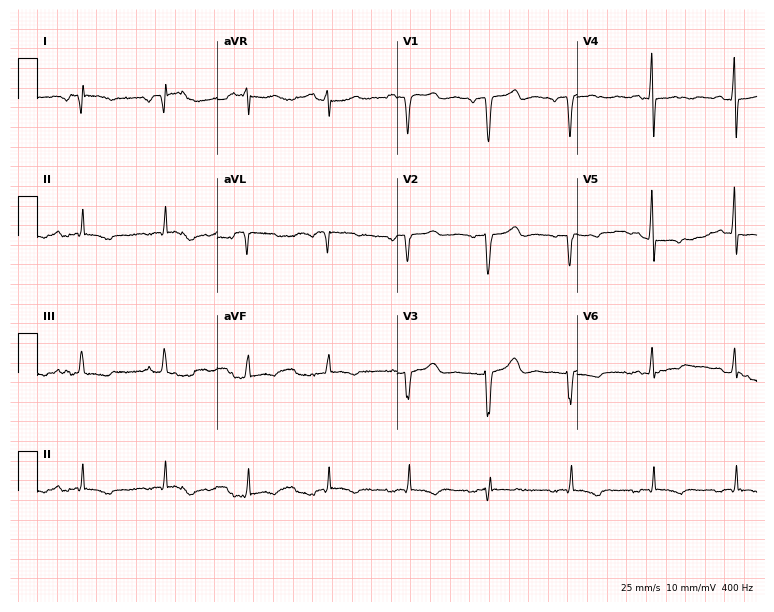
12-lead ECG from a female patient, 78 years old. Screened for six findings — first-degree AV block, right bundle branch block, left bundle branch block, sinus bradycardia, atrial fibrillation, sinus tachycardia — none is recorded. Other findings, if any, are not listed.